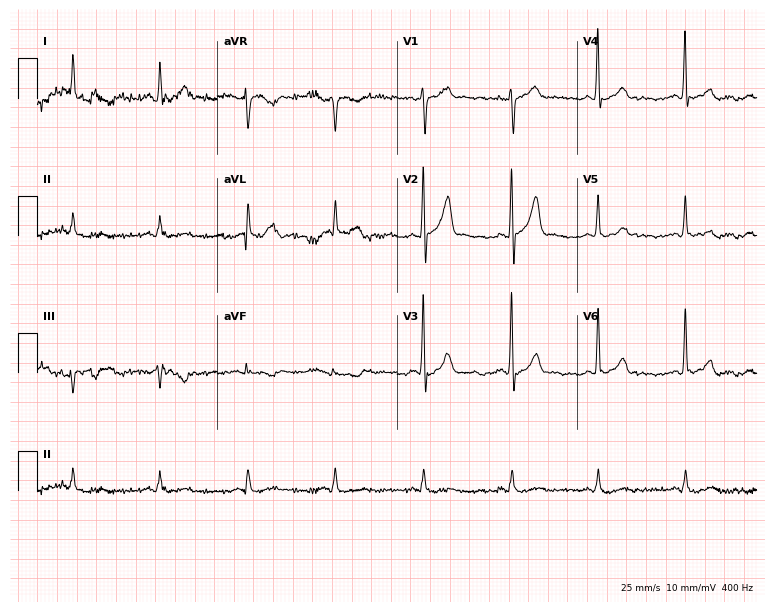
Resting 12-lead electrocardiogram. Patient: a male, 59 years old. None of these six findings is recorded: first-degree AV block, right bundle branch block (RBBB), left bundle branch block (LBBB), sinus bradycardia, atrial fibrillation (AF), sinus tachycardia.